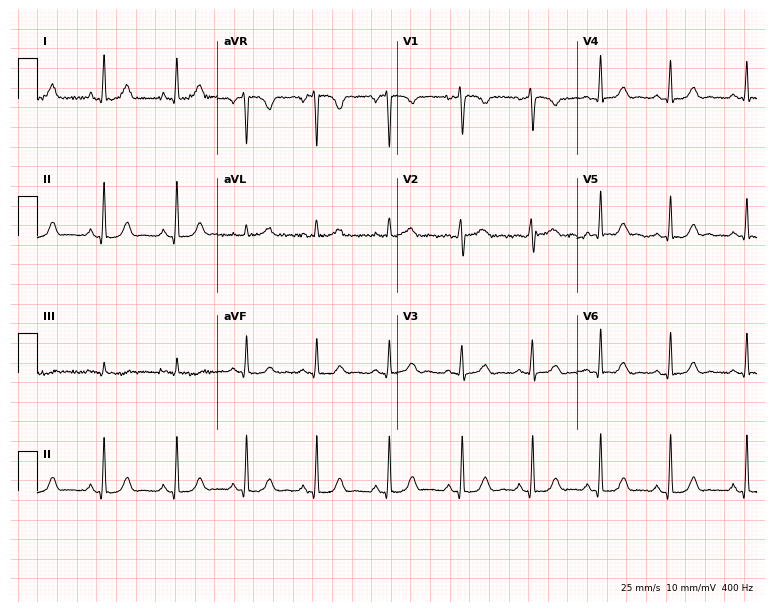
12-lead ECG from a 26-year-old woman. Recorded interpretation: within normal limits.